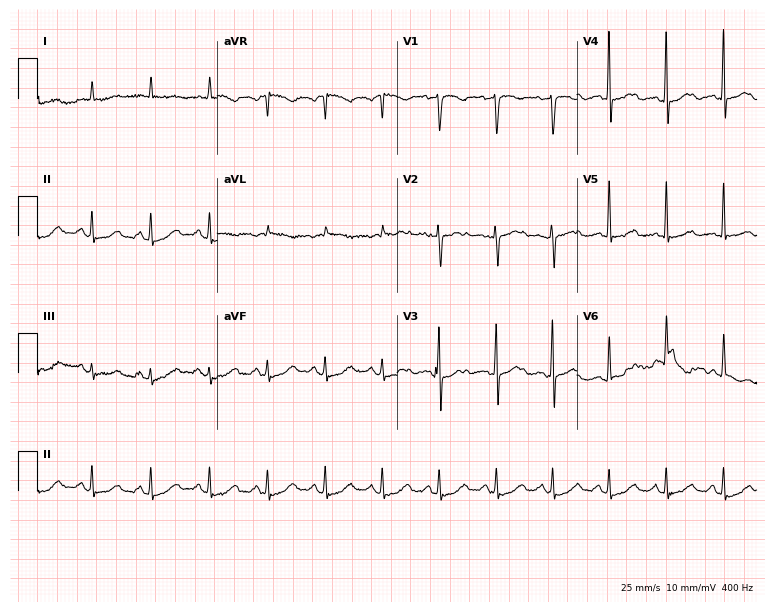
Standard 12-lead ECG recorded from a female patient, 55 years old. None of these six findings is recorded: first-degree AV block, right bundle branch block (RBBB), left bundle branch block (LBBB), sinus bradycardia, atrial fibrillation (AF), sinus tachycardia. Only these six findings were labelled.